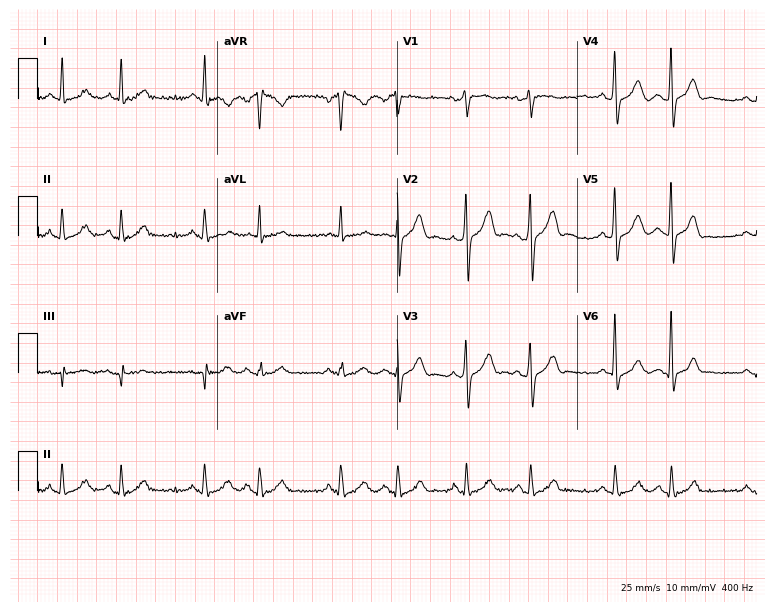
12-lead ECG from a 62-year-old male patient (7.3-second recording at 400 Hz). No first-degree AV block, right bundle branch block, left bundle branch block, sinus bradycardia, atrial fibrillation or sinus tachycardia recorded for this tracing. Other findings, if any, are not listed.